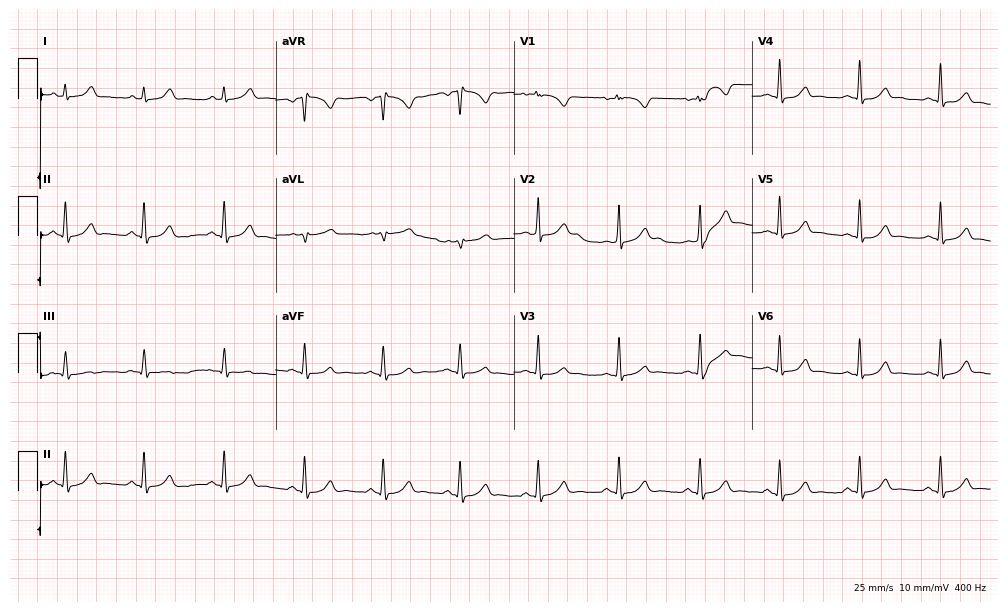
Electrocardiogram (9.7-second recording at 400 Hz), a woman, 37 years old. Overall reading on record: normal ECG.